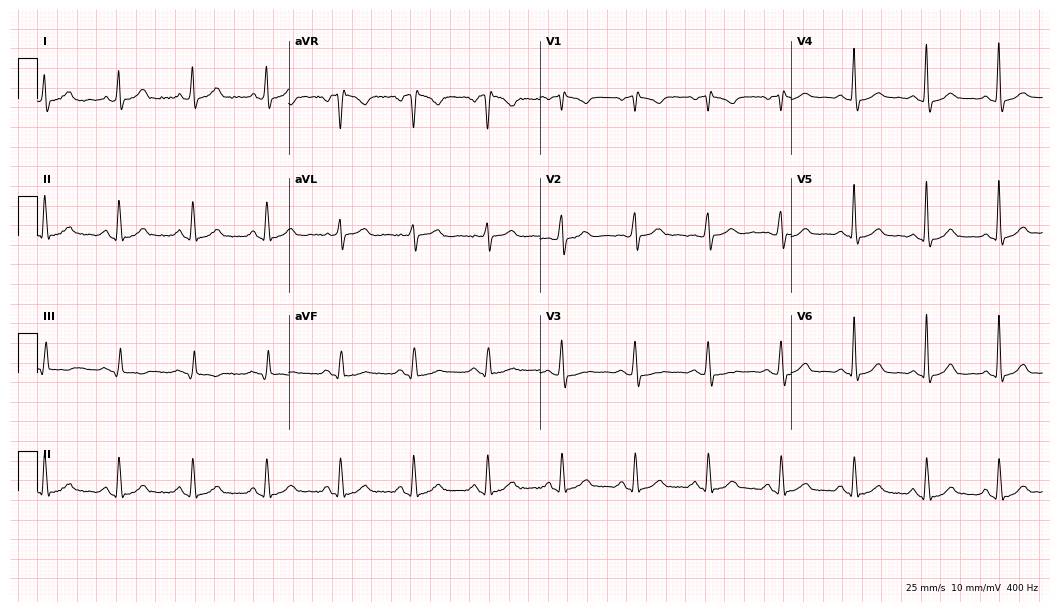
12-lead ECG from a 67-year-old female (10.2-second recording at 400 Hz). Recorded interpretation: within normal limits.